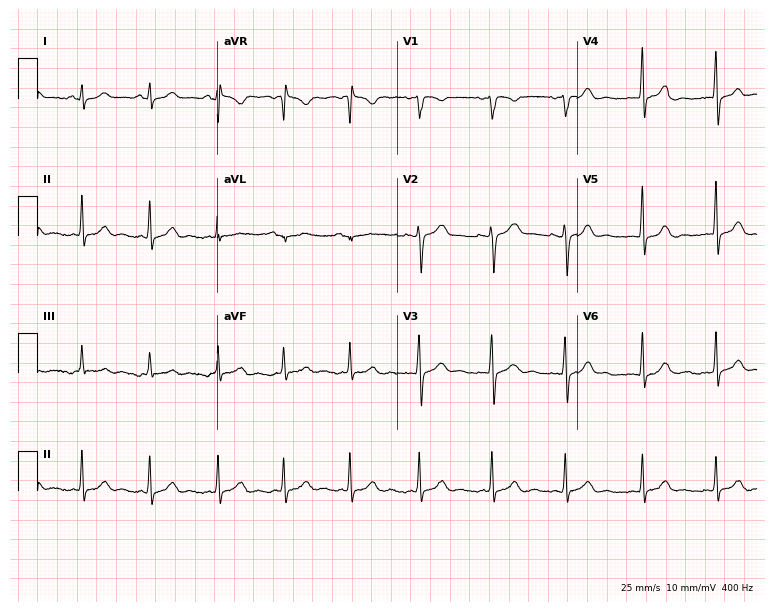
ECG — a female, 24 years old. Screened for six findings — first-degree AV block, right bundle branch block (RBBB), left bundle branch block (LBBB), sinus bradycardia, atrial fibrillation (AF), sinus tachycardia — none is recorded. Other findings, if any, are not listed.